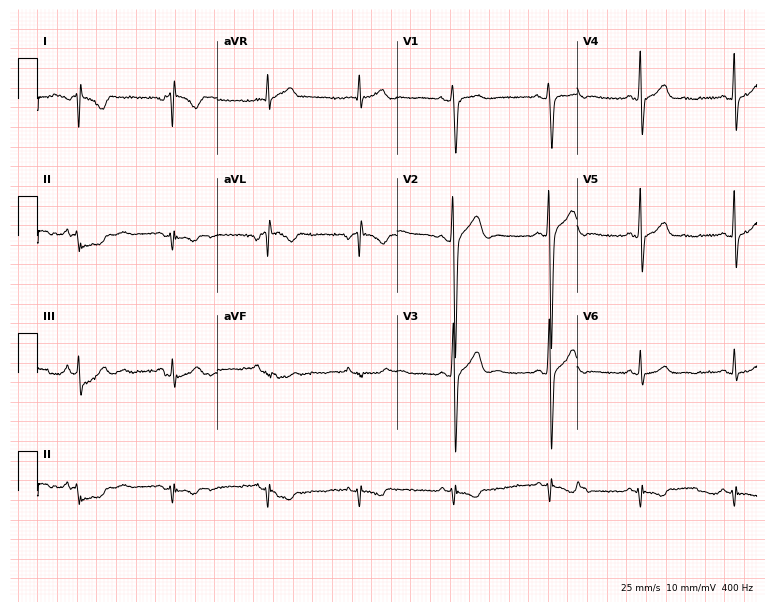
12-lead ECG from a 36-year-old male (7.3-second recording at 400 Hz). No first-degree AV block, right bundle branch block (RBBB), left bundle branch block (LBBB), sinus bradycardia, atrial fibrillation (AF) or sinus tachycardia recorded for this tracing.